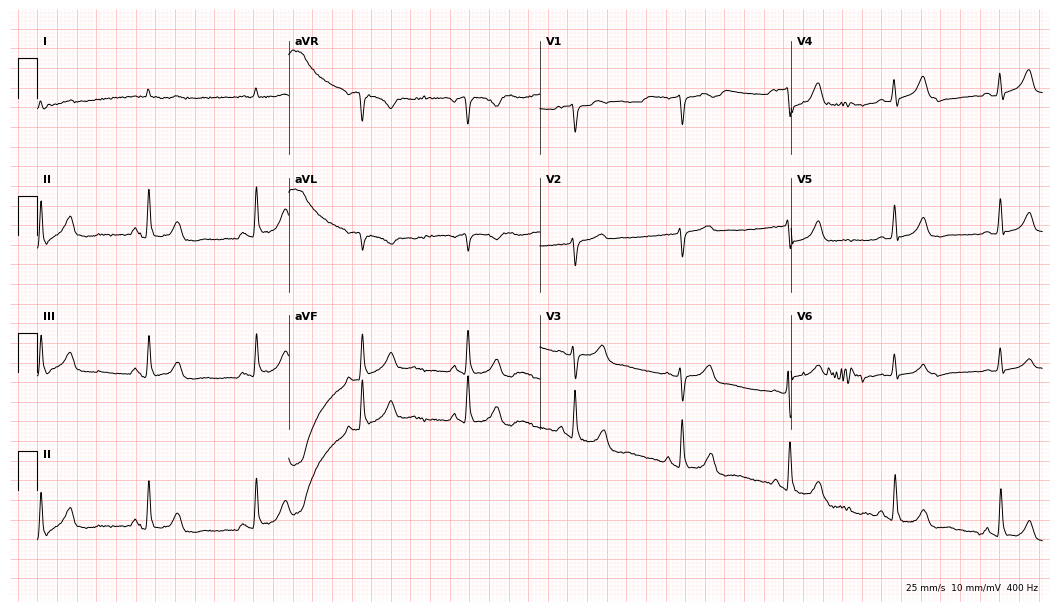
ECG (10.2-second recording at 400 Hz) — a 54-year-old male patient. Screened for six findings — first-degree AV block, right bundle branch block (RBBB), left bundle branch block (LBBB), sinus bradycardia, atrial fibrillation (AF), sinus tachycardia — none is recorded. Other findings, if any, are not listed.